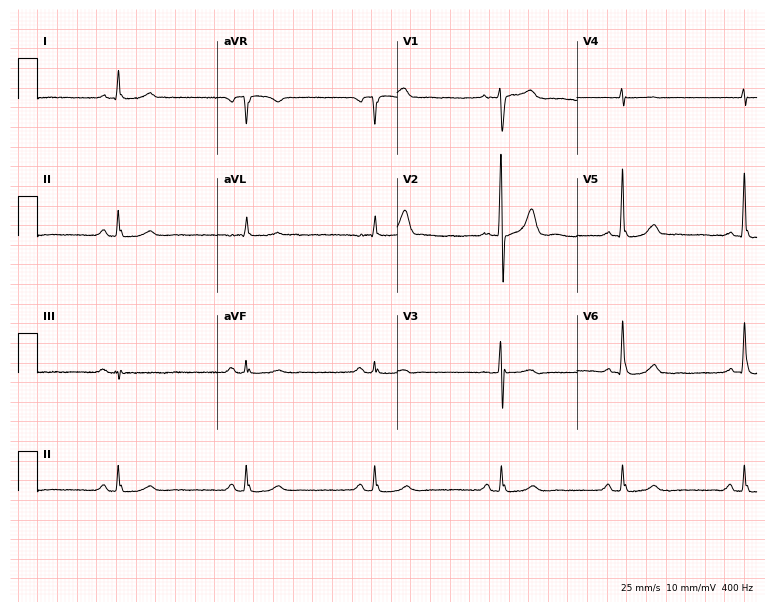
12-lead ECG from a male, 73 years old. Shows sinus bradycardia (a sinus rate of 50 beats per minute or less).